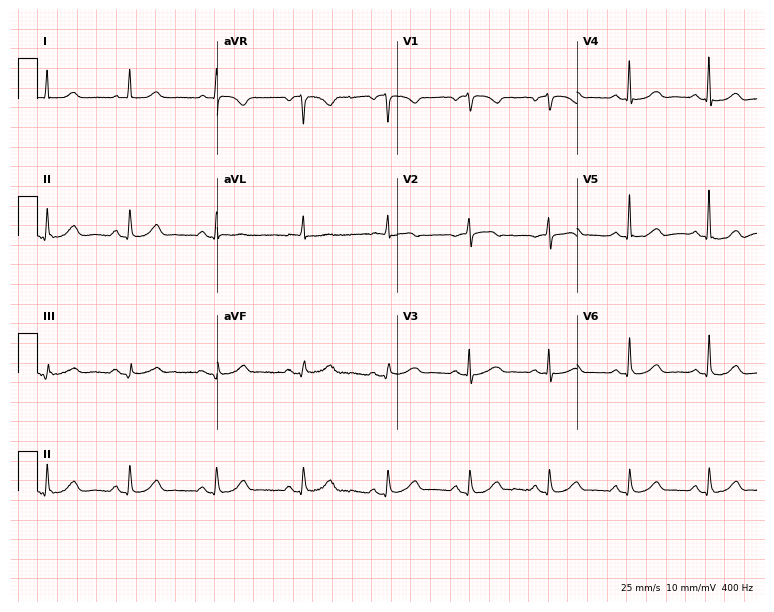
12-lead ECG from a 75-year-old female patient. Recorded interpretation: within normal limits.